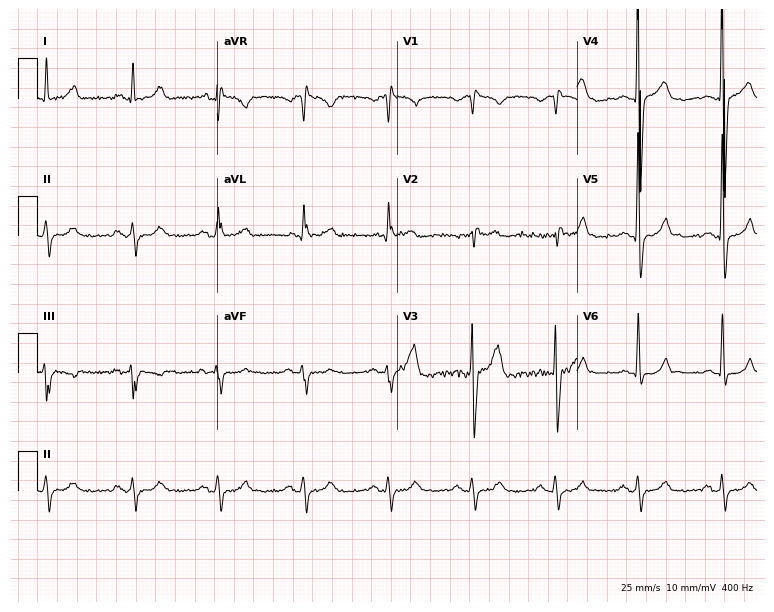
Standard 12-lead ECG recorded from a 52-year-old male patient (7.3-second recording at 400 Hz). None of these six findings is recorded: first-degree AV block, right bundle branch block, left bundle branch block, sinus bradycardia, atrial fibrillation, sinus tachycardia. Other findings, if any, are not listed.